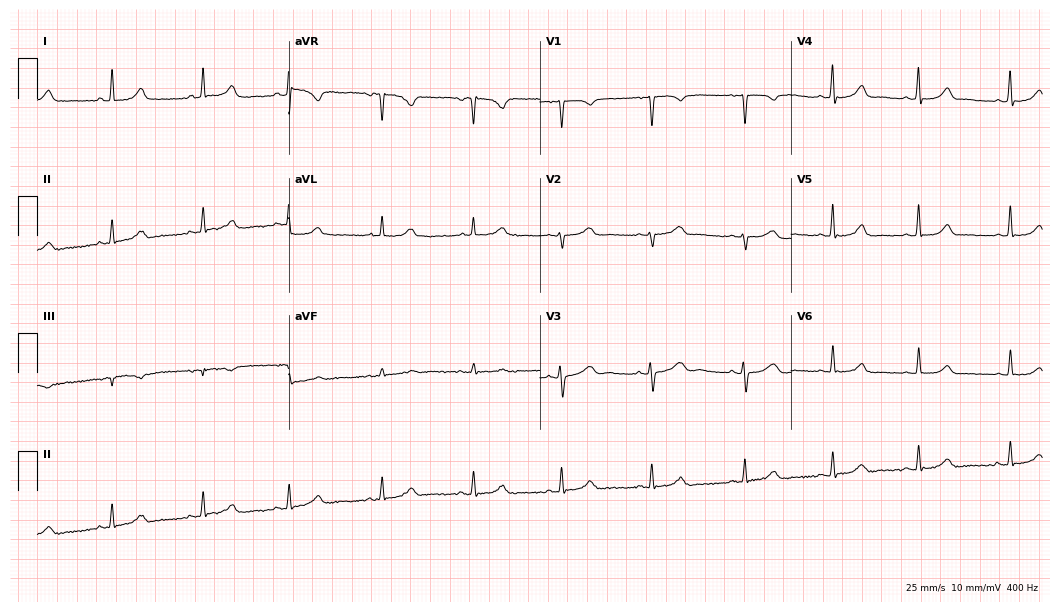
Standard 12-lead ECG recorded from a 49-year-old female patient (10.2-second recording at 400 Hz). Read as a normal ECG.